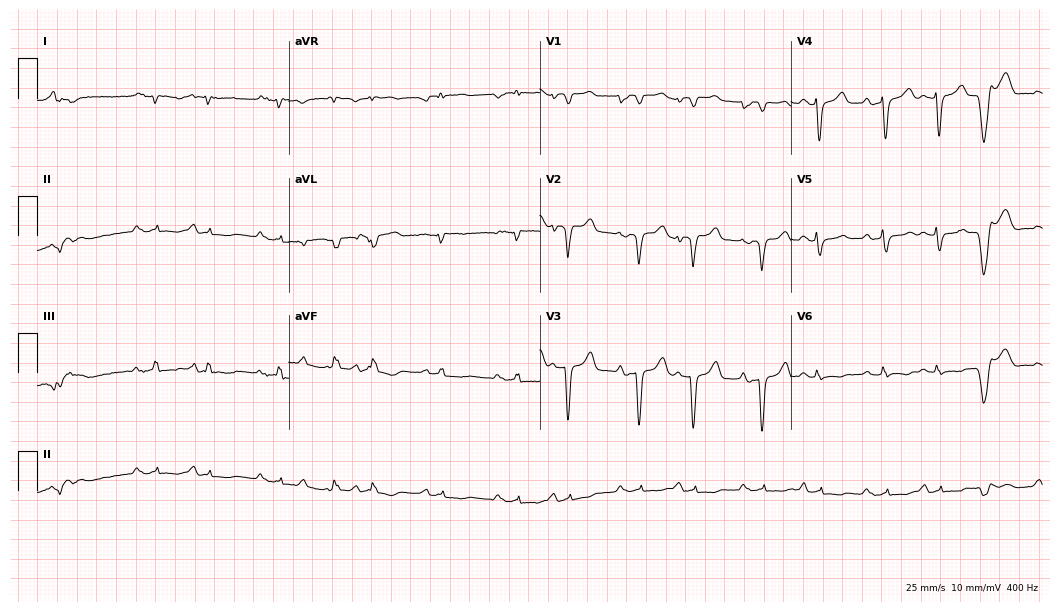
12-lead ECG (10.2-second recording at 400 Hz) from a male, 57 years old. Screened for six findings — first-degree AV block, right bundle branch block, left bundle branch block, sinus bradycardia, atrial fibrillation, sinus tachycardia — none is recorded.